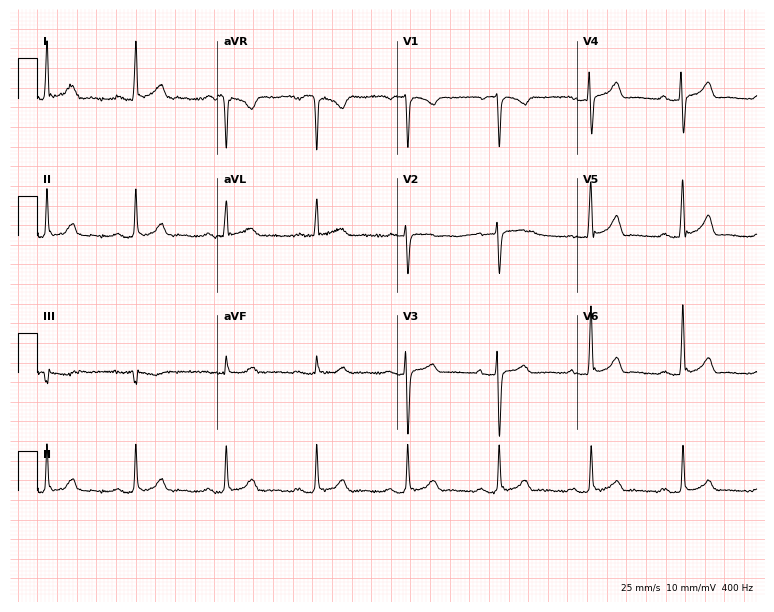
12-lead ECG from a woman, 65 years old (7.3-second recording at 400 Hz). Recorded interpretation: within normal limits.